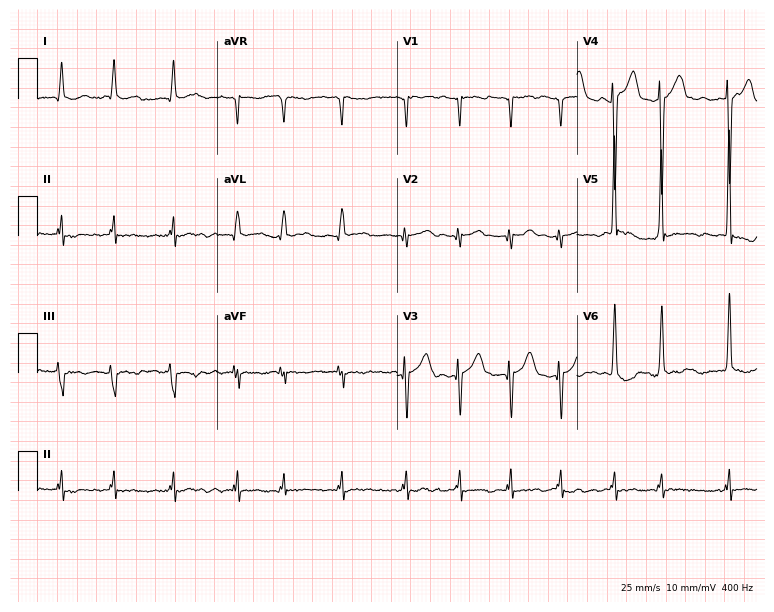
Resting 12-lead electrocardiogram. Patient: a 69-year-old man. The tracing shows atrial fibrillation (AF).